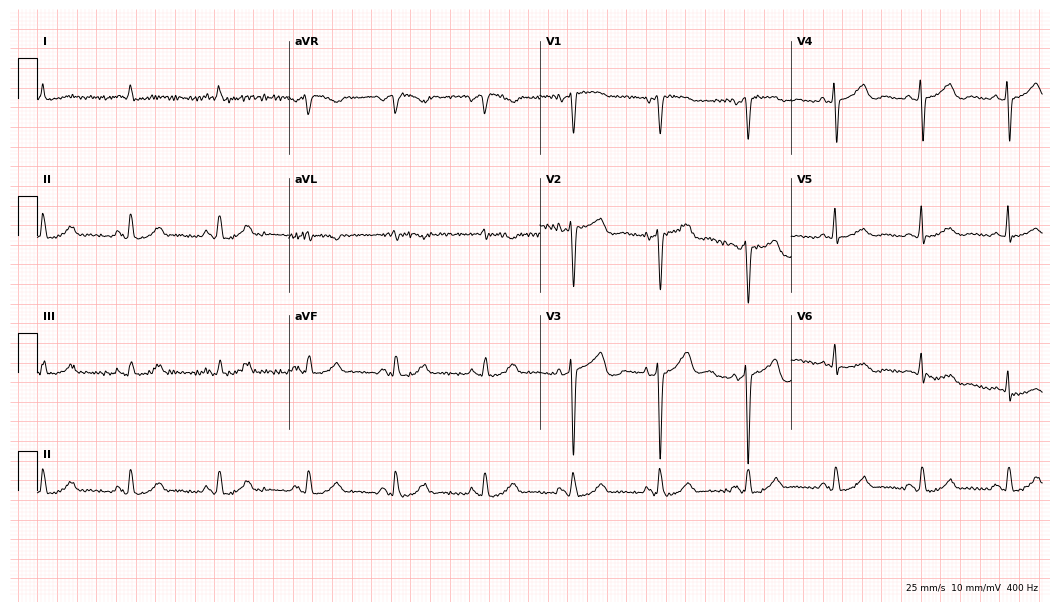
12-lead ECG (10.2-second recording at 400 Hz) from a 66-year-old female patient. Screened for six findings — first-degree AV block, right bundle branch block, left bundle branch block, sinus bradycardia, atrial fibrillation, sinus tachycardia — none is recorded. Other findings, if any, are not listed.